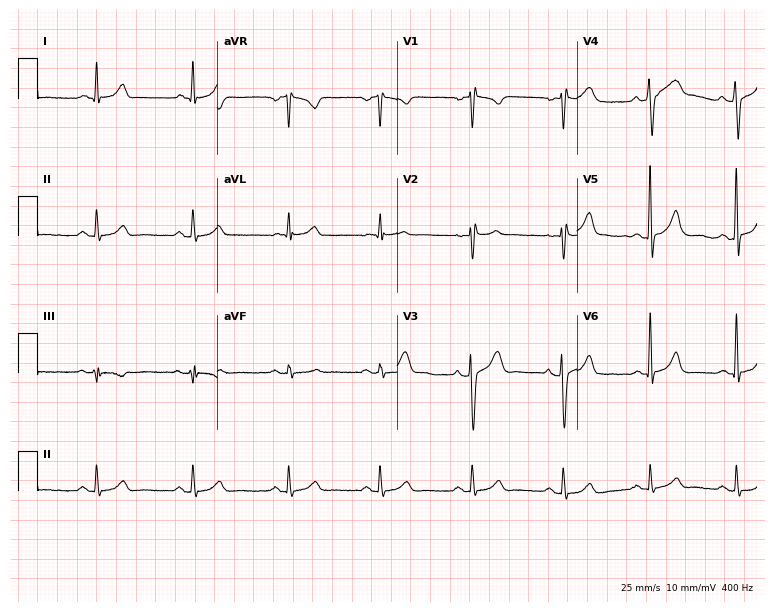
Standard 12-lead ECG recorded from a male patient, 46 years old (7.3-second recording at 400 Hz). None of these six findings is recorded: first-degree AV block, right bundle branch block, left bundle branch block, sinus bradycardia, atrial fibrillation, sinus tachycardia. Only these six findings were labelled.